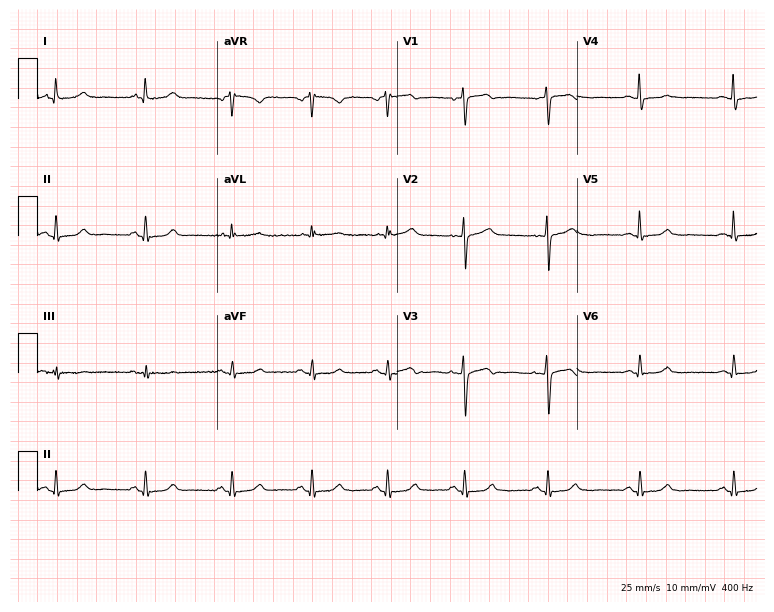
ECG — a female patient, 44 years old. Labelled as a normal ECG.